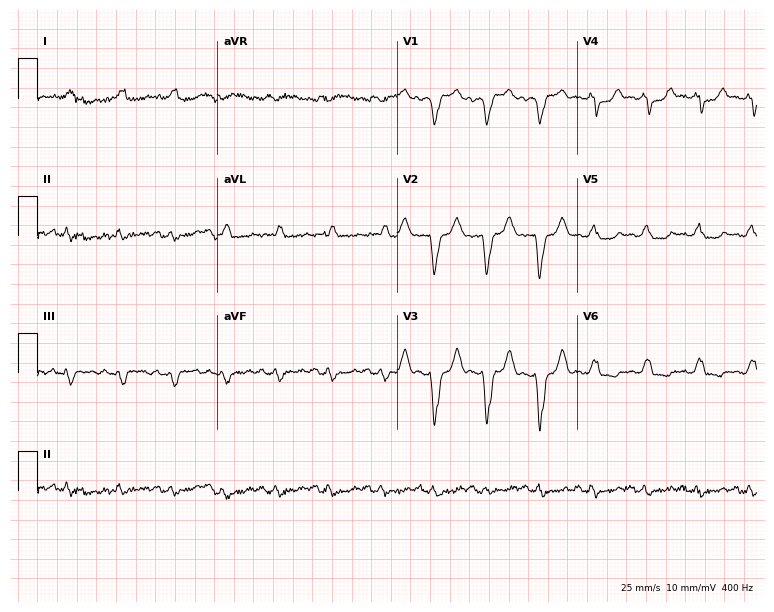
Resting 12-lead electrocardiogram (7.3-second recording at 400 Hz). Patient: a female, 82 years old. The tracing shows left bundle branch block, sinus tachycardia (a sinus rate of 100 beats per minute or more).